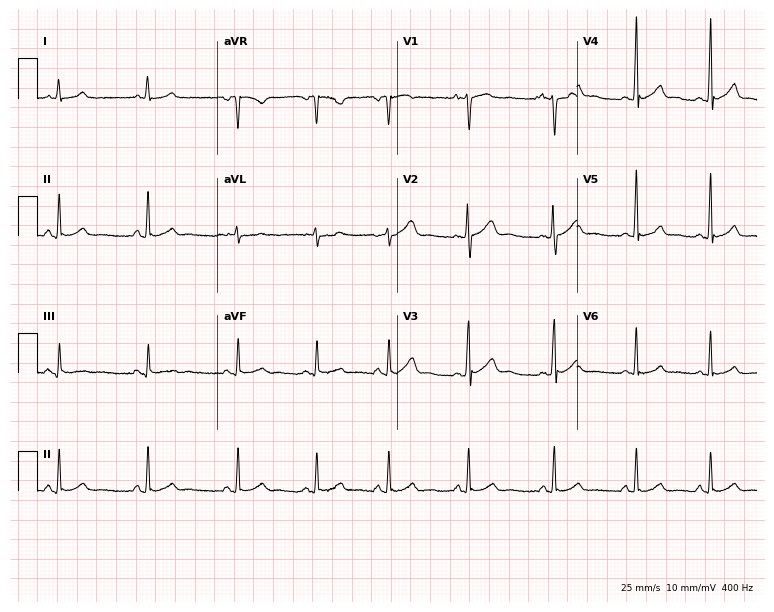
12-lead ECG from a female, 18 years old. No first-degree AV block, right bundle branch block, left bundle branch block, sinus bradycardia, atrial fibrillation or sinus tachycardia recorded for this tracing. Findings outside these six are not listed.